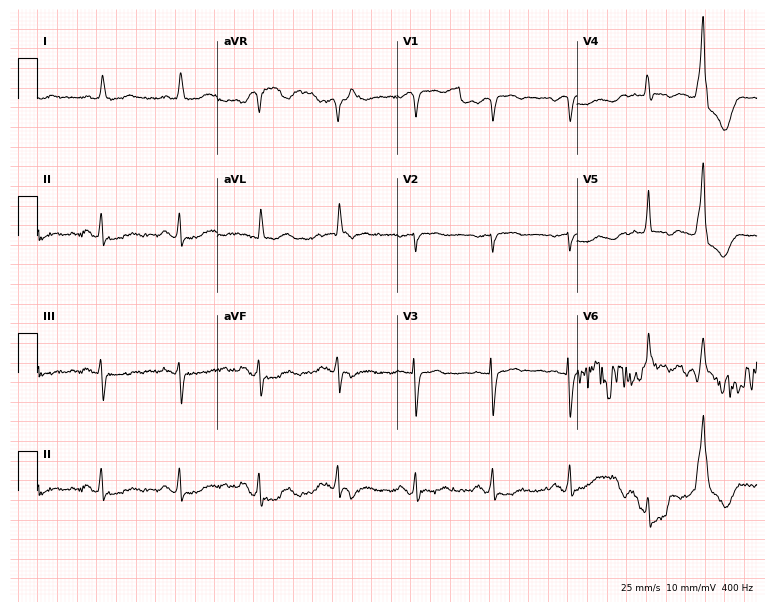
ECG (7.3-second recording at 400 Hz) — a female, 65 years old. Screened for six findings — first-degree AV block, right bundle branch block, left bundle branch block, sinus bradycardia, atrial fibrillation, sinus tachycardia — none is recorded. Other findings, if any, are not listed.